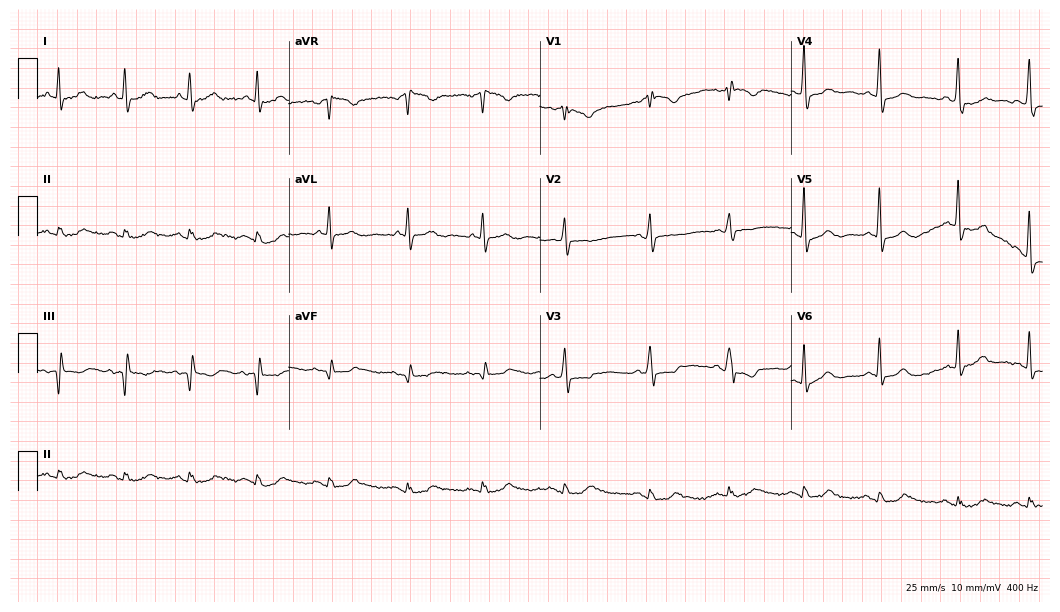
Resting 12-lead electrocardiogram (10.2-second recording at 400 Hz). Patient: a male, 74 years old. None of these six findings is recorded: first-degree AV block, right bundle branch block, left bundle branch block, sinus bradycardia, atrial fibrillation, sinus tachycardia. Other findings, if any, are not listed.